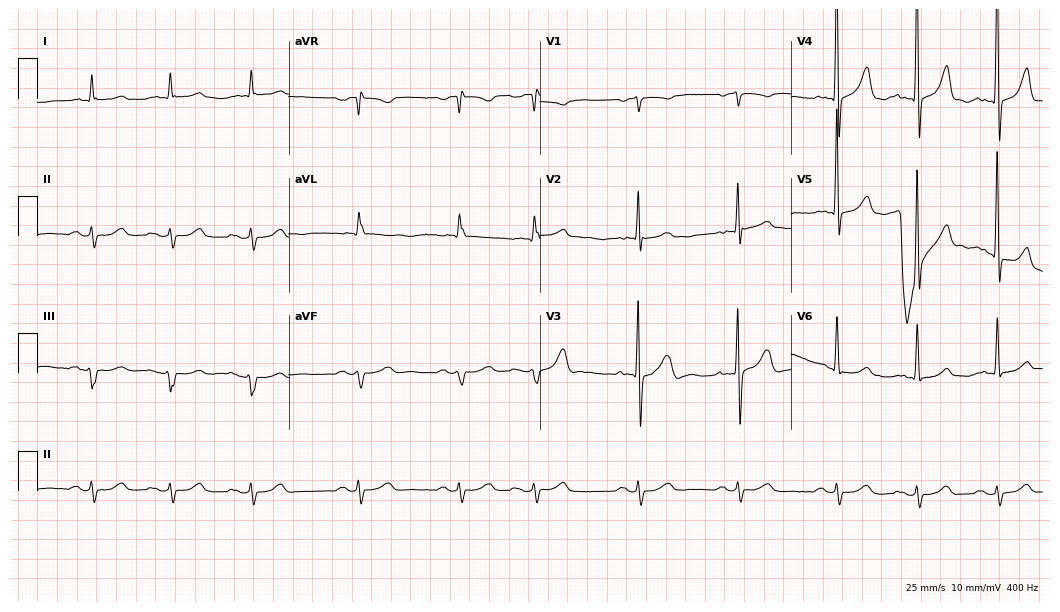
12-lead ECG from an 82-year-old male patient. No first-degree AV block, right bundle branch block, left bundle branch block, sinus bradycardia, atrial fibrillation or sinus tachycardia recorded for this tracing. Other findings, if any, are not listed.